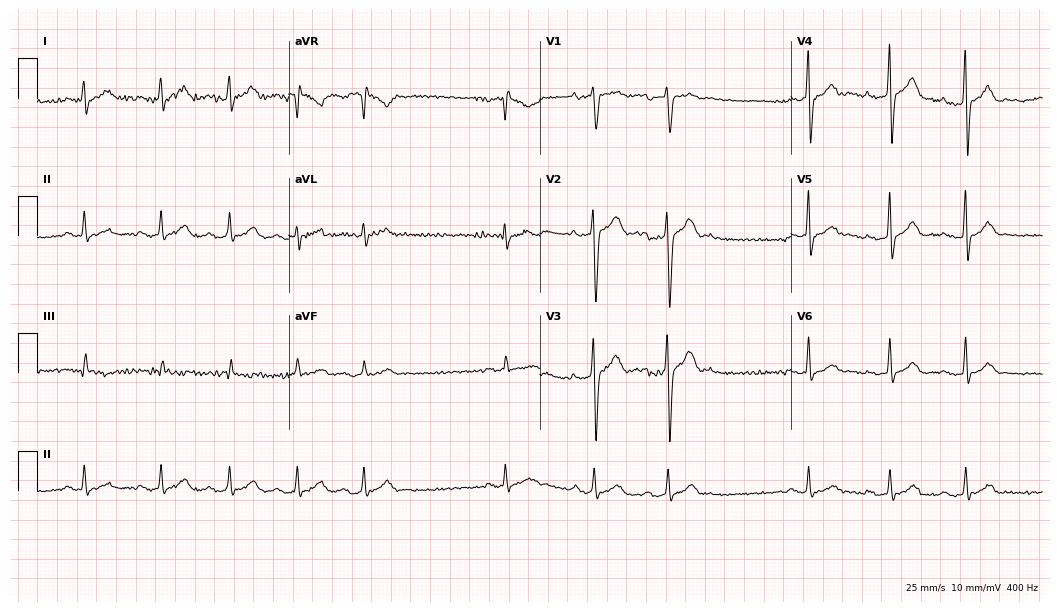
Standard 12-lead ECG recorded from a male patient, 28 years old. Read as a normal ECG.